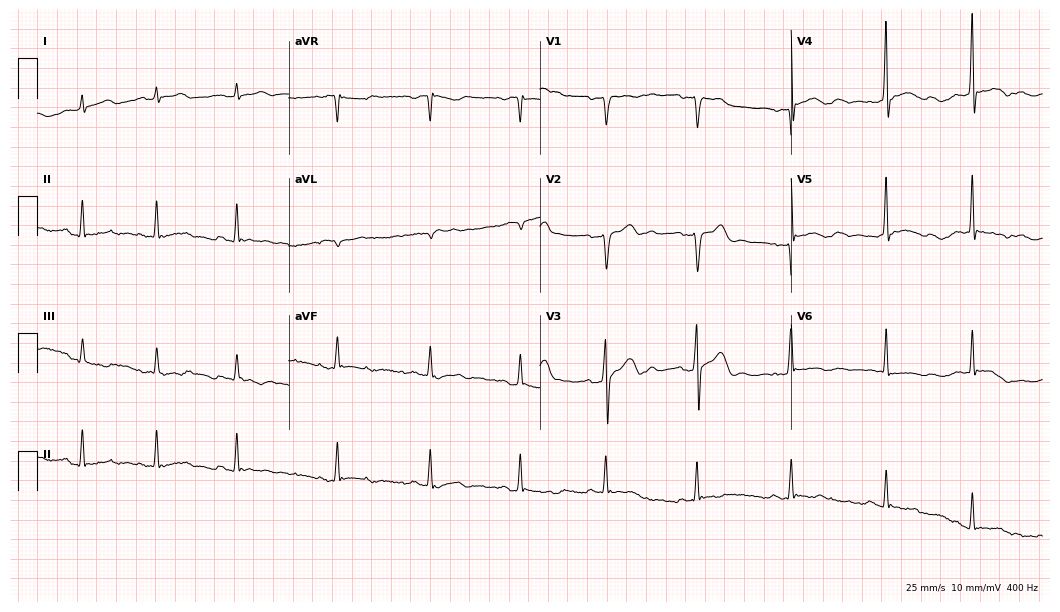
Standard 12-lead ECG recorded from a man, 25 years old. None of these six findings is recorded: first-degree AV block, right bundle branch block, left bundle branch block, sinus bradycardia, atrial fibrillation, sinus tachycardia.